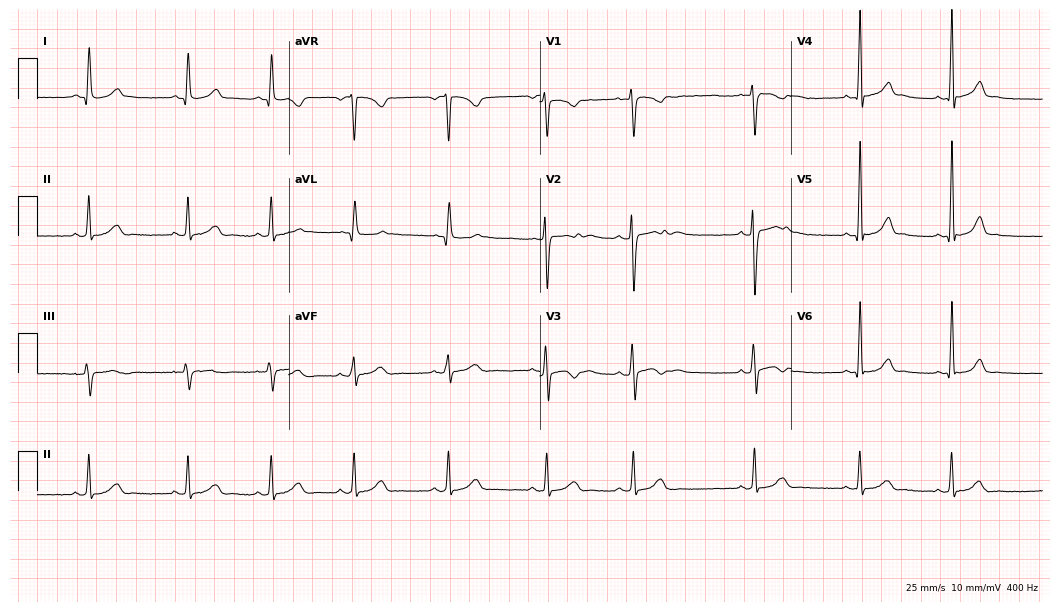
12-lead ECG (10.2-second recording at 400 Hz) from a woman, 20 years old. Labelled as a normal ECG.